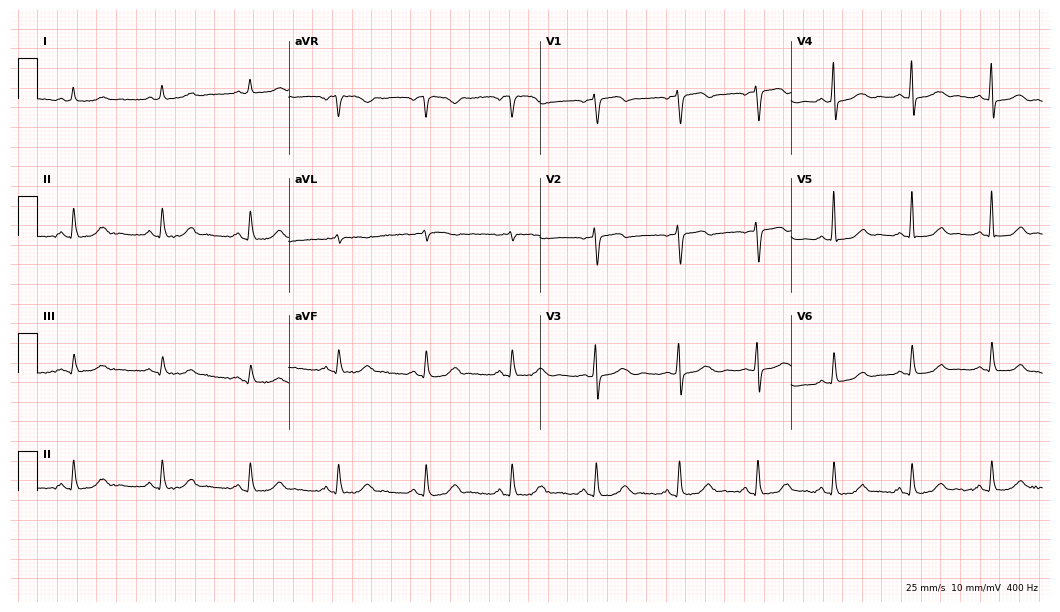
Standard 12-lead ECG recorded from a 66-year-old female patient. Read as a normal ECG.